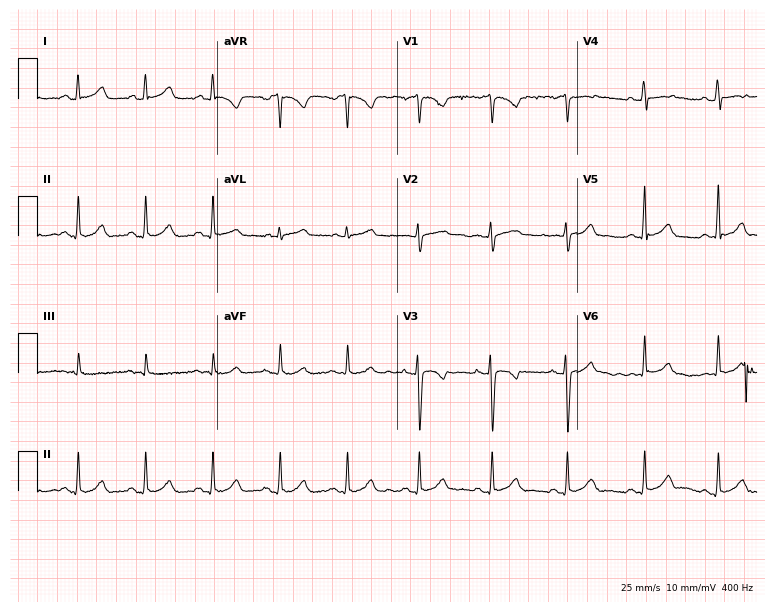
Resting 12-lead electrocardiogram. Patient: a woman, 18 years old. None of these six findings is recorded: first-degree AV block, right bundle branch block, left bundle branch block, sinus bradycardia, atrial fibrillation, sinus tachycardia.